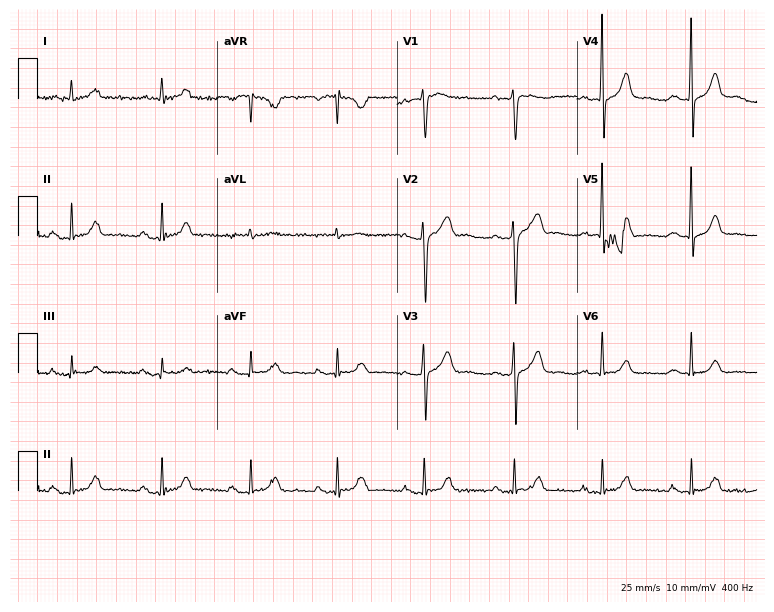
Resting 12-lead electrocardiogram. Patient: a 63-year-old male. None of these six findings is recorded: first-degree AV block, right bundle branch block (RBBB), left bundle branch block (LBBB), sinus bradycardia, atrial fibrillation (AF), sinus tachycardia.